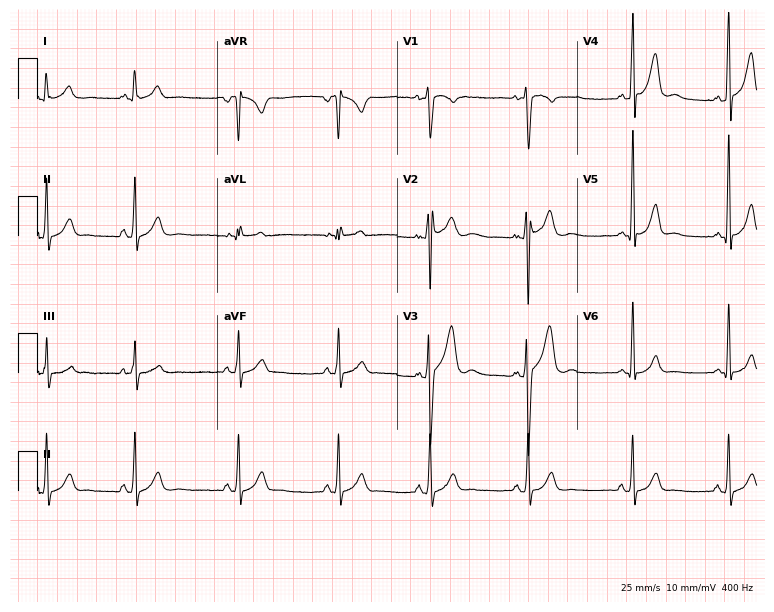
12-lead ECG from a male patient, 19 years old. Labelled as a normal ECG.